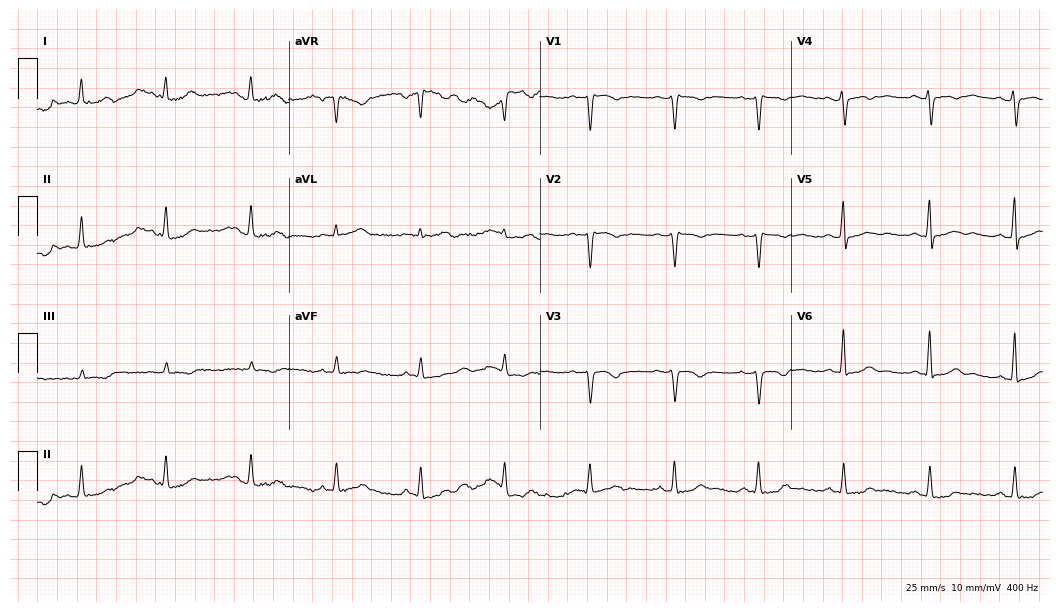
Electrocardiogram, a 53-year-old female patient. Of the six screened findings (first-degree AV block, right bundle branch block, left bundle branch block, sinus bradycardia, atrial fibrillation, sinus tachycardia), none is recorded. Only these six findings were labelled.